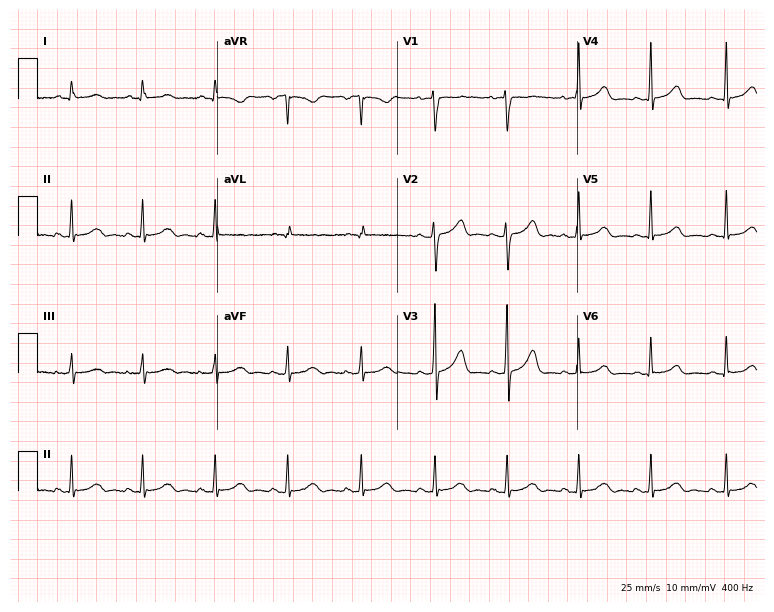
Electrocardiogram, a woman, 29 years old. Of the six screened findings (first-degree AV block, right bundle branch block, left bundle branch block, sinus bradycardia, atrial fibrillation, sinus tachycardia), none is recorded.